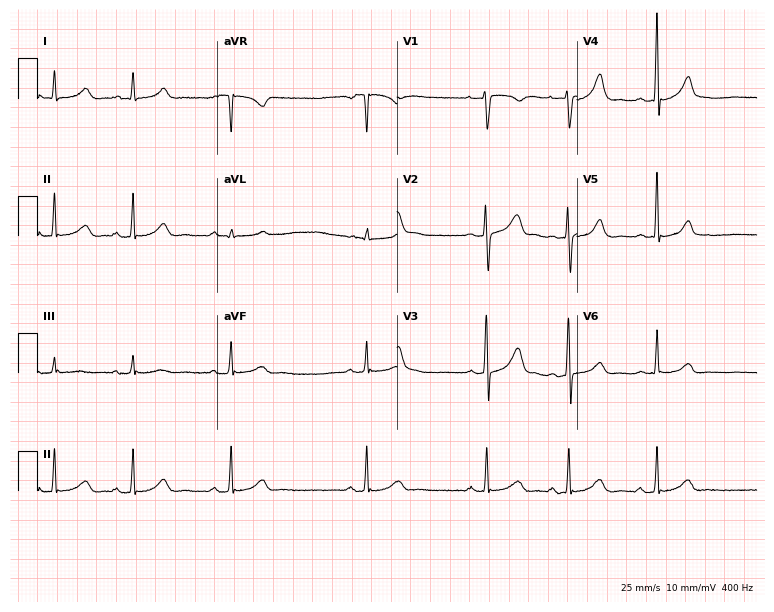
Resting 12-lead electrocardiogram. Patient: a female, 19 years old. None of these six findings is recorded: first-degree AV block, right bundle branch block (RBBB), left bundle branch block (LBBB), sinus bradycardia, atrial fibrillation (AF), sinus tachycardia. Only these six findings were labelled.